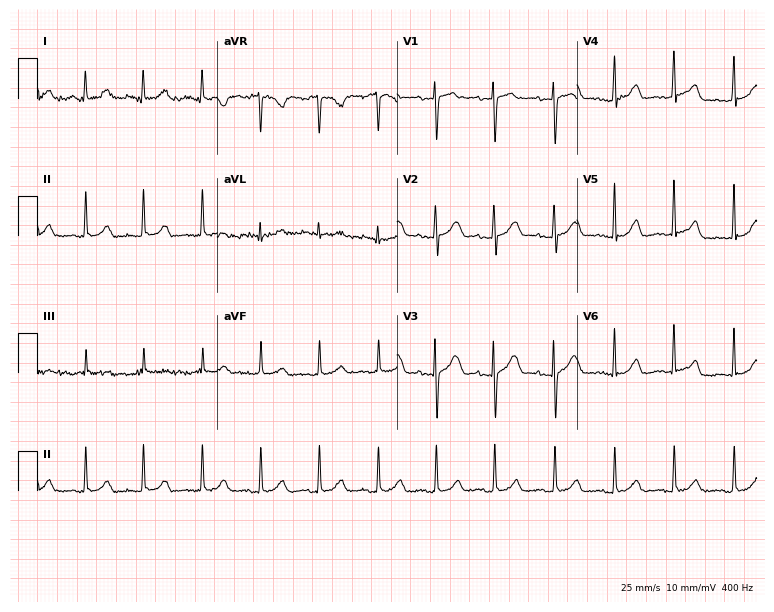
ECG — a 19-year-old female patient. Findings include sinus tachycardia (a sinus rate of 100 beats per minute or more).